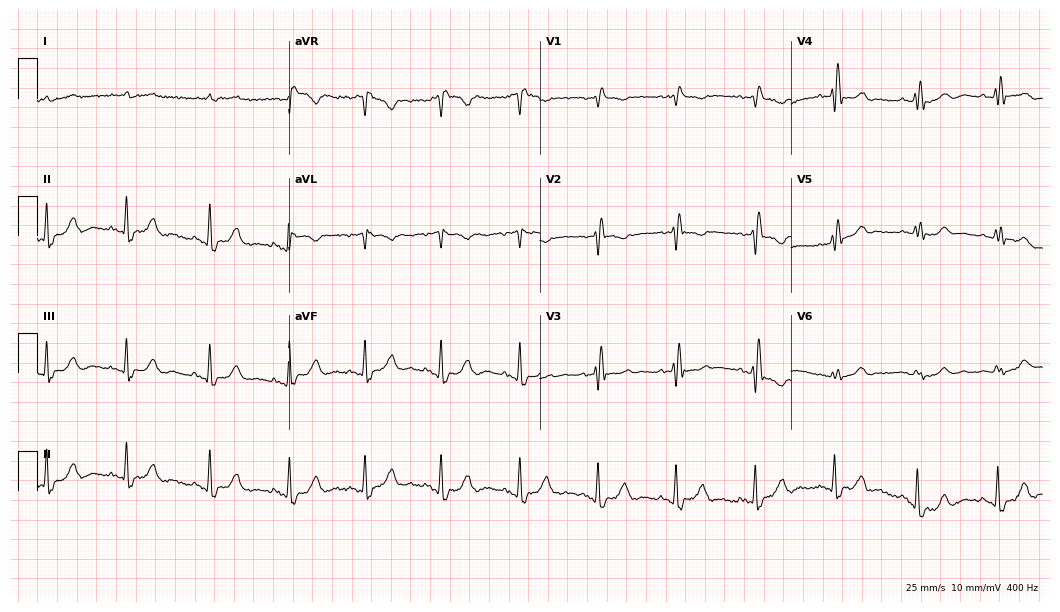
12-lead ECG (10.2-second recording at 400 Hz) from a male patient, 78 years old. Findings include right bundle branch block (RBBB).